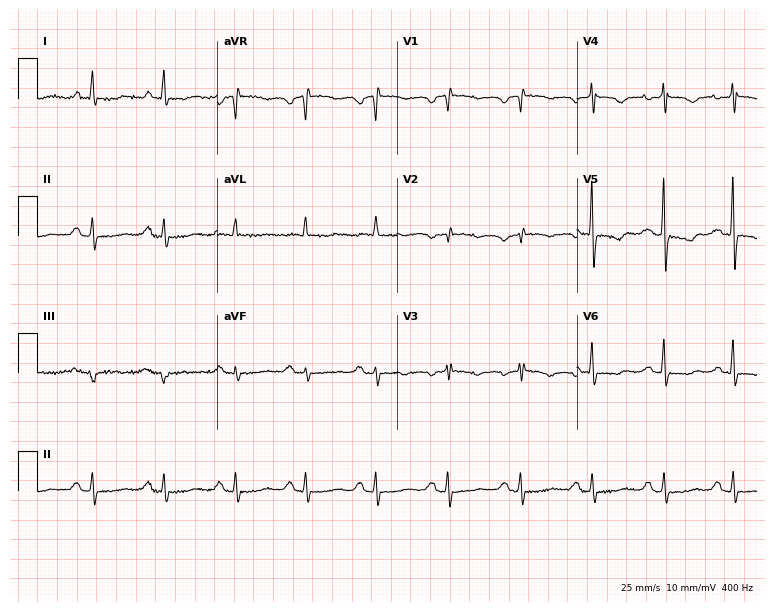
12-lead ECG from a female patient, 69 years old. Screened for six findings — first-degree AV block, right bundle branch block, left bundle branch block, sinus bradycardia, atrial fibrillation, sinus tachycardia — none is recorded.